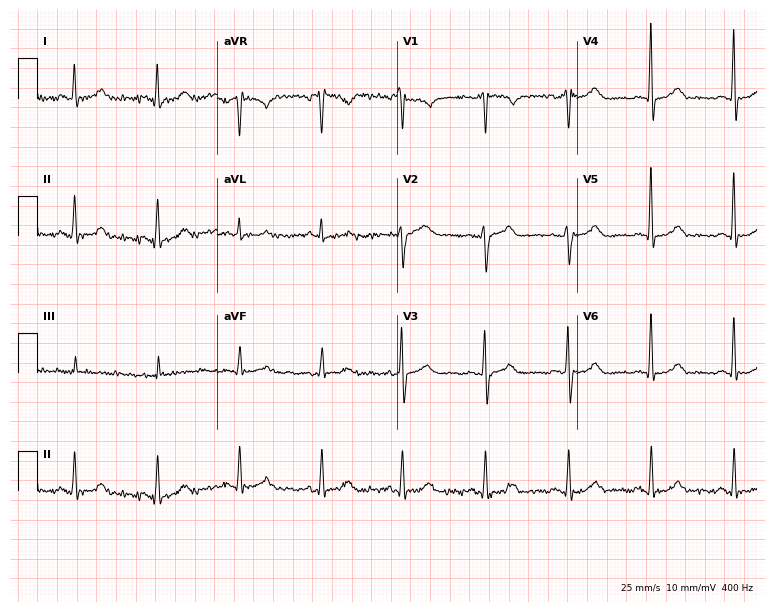
Electrocardiogram (7.3-second recording at 400 Hz), a woman, 47 years old. Of the six screened findings (first-degree AV block, right bundle branch block (RBBB), left bundle branch block (LBBB), sinus bradycardia, atrial fibrillation (AF), sinus tachycardia), none is recorded.